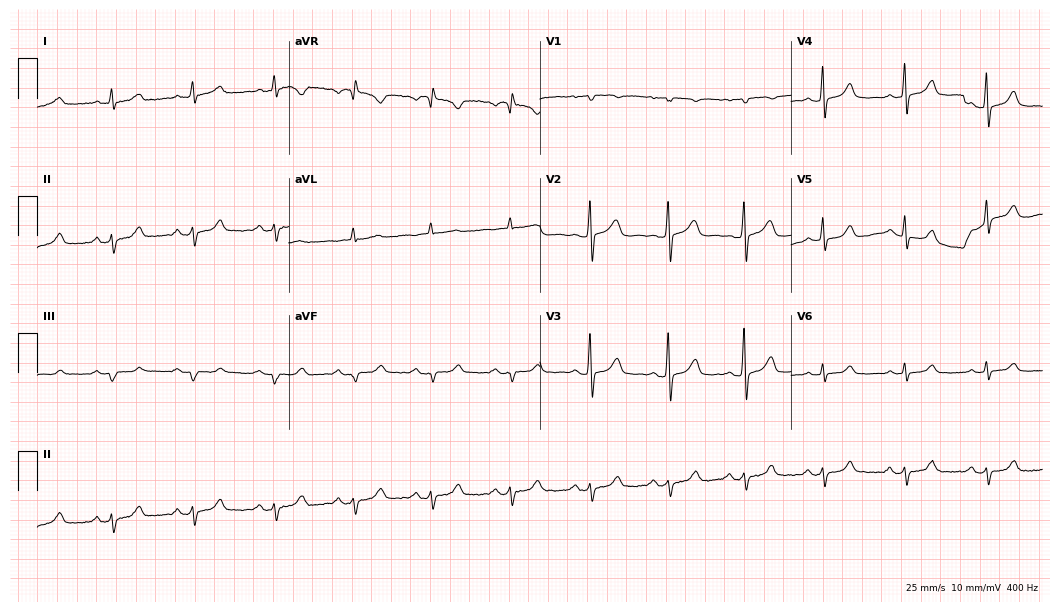
Standard 12-lead ECG recorded from a female patient, 55 years old. None of these six findings is recorded: first-degree AV block, right bundle branch block (RBBB), left bundle branch block (LBBB), sinus bradycardia, atrial fibrillation (AF), sinus tachycardia.